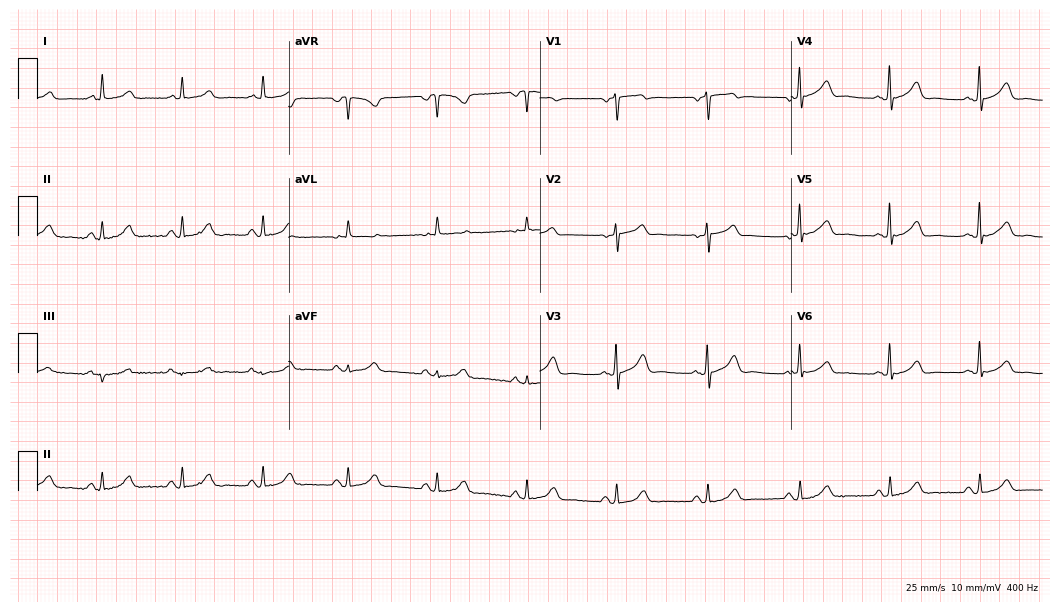
Resting 12-lead electrocardiogram (10.2-second recording at 400 Hz). Patient: a 60-year-old woman. Read as a normal ECG.